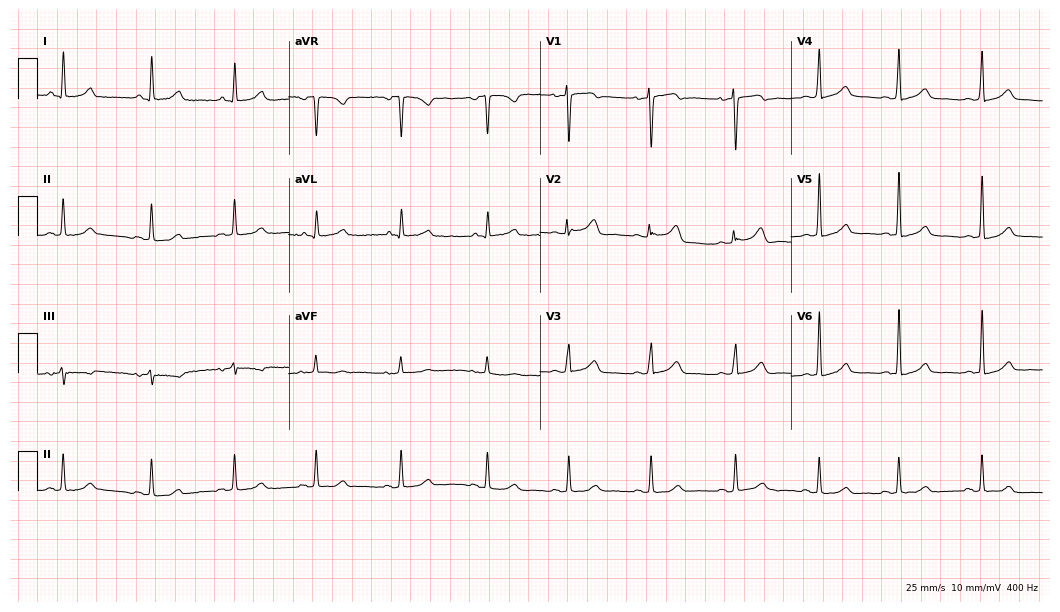
12-lead ECG from a female patient, 34 years old (10.2-second recording at 400 Hz). Recorded interpretation: within normal limits.